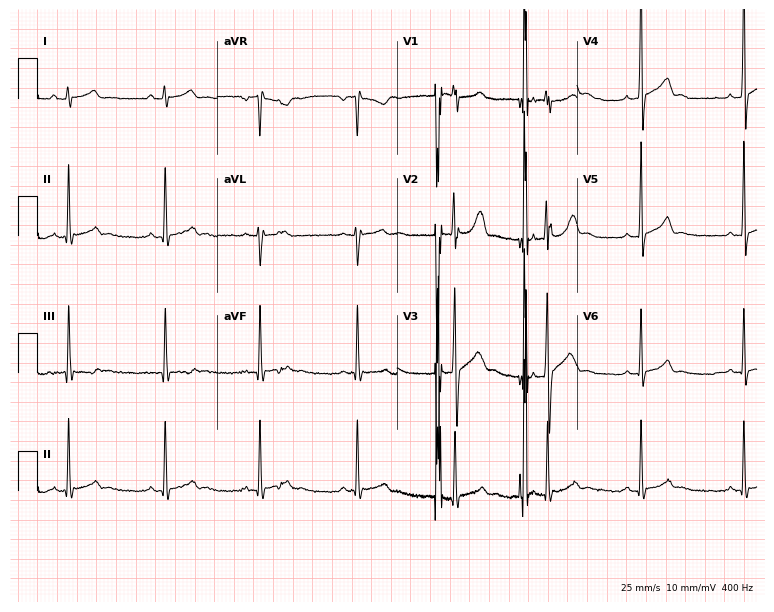
12-lead ECG from an 18-year-old male (7.3-second recording at 400 Hz). Recorded interpretation: within normal limits.